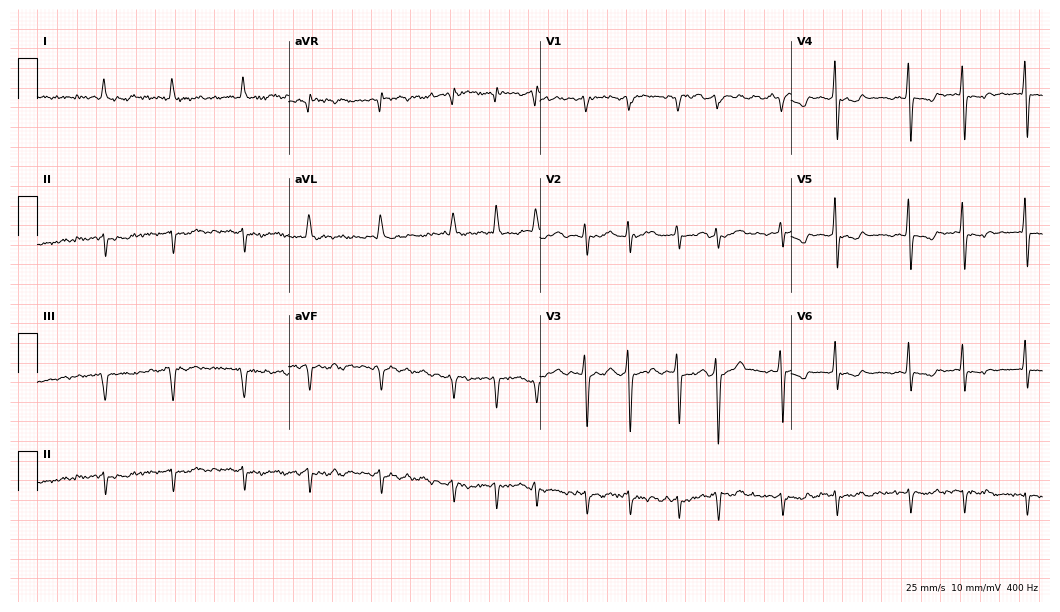
Standard 12-lead ECG recorded from a male patient, 70 years old (10.2-second recording at 400 Hz). The tracing shows atrial fibrillation (AF).